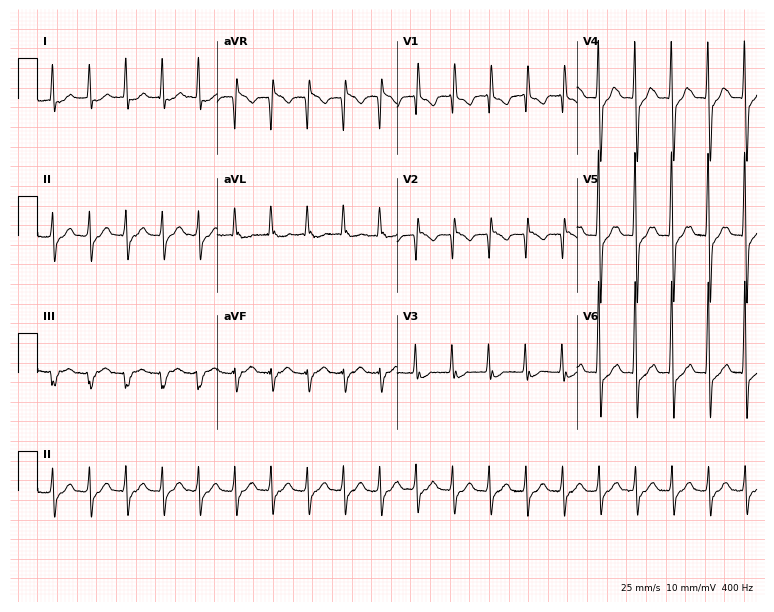
Resting 12-lead electrocardiogram (7.3-second recording at 400 Hz). Patient: a man, 61 years old. The tracing shows sinus tachycardia (a sinus rate of 100 beats per minute or more).